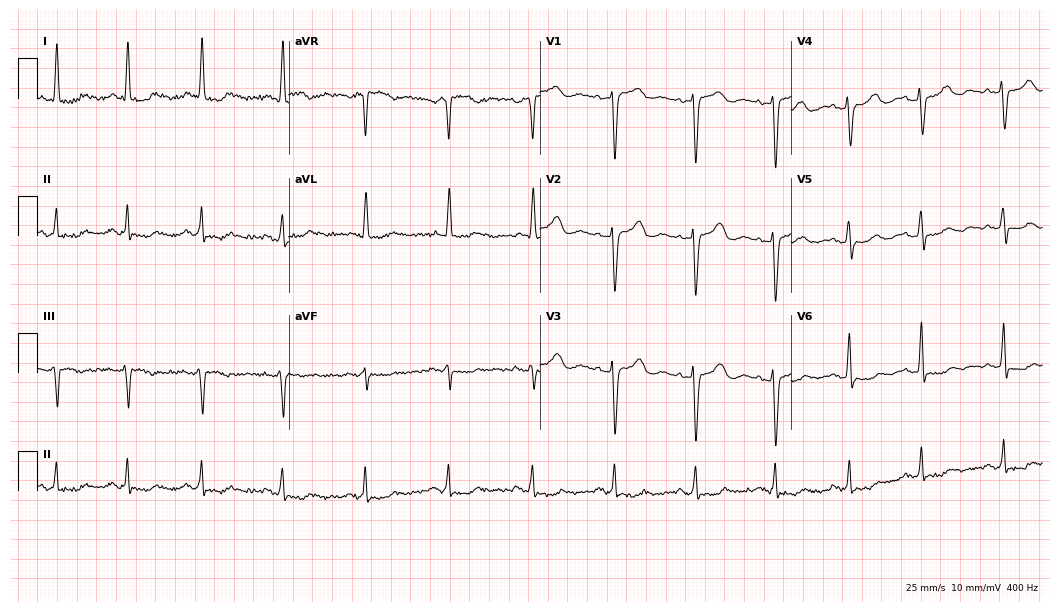
Electrocardiogram (10.2-second recording at 400 Hz), a 72-year-old female. Of the six screened findings (first-degree AV block, right bundle branch block, left bundle branch block, sinus bradycardia, atrial fibrillation, sinus tachycardia), none is recorded. Other findings, if any, are not listed.